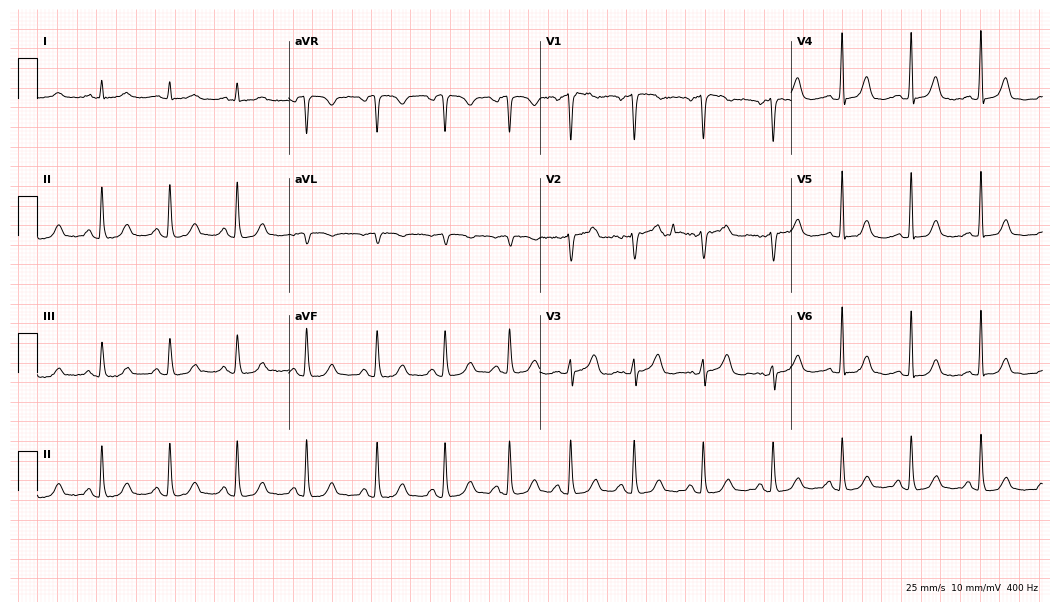
Standard 12-lead ECG recorded from a 66-year-old woman. None of these six findings is recorded: first-degree AV block, right bundle branch block, left bundle branch block, sinus bradycardia, atrial fibrillation, sinus tachycardia.